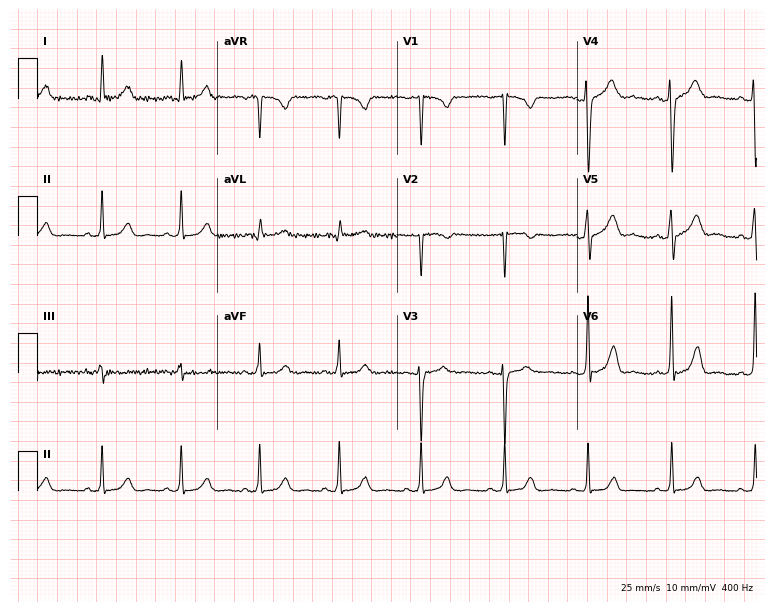
Resting 12-lead electrocardiogram (7.3-second recording at 400 Hz). Patient: a 36-year-old woman. None of these six findings is recorded: first-degree AV block, right bundle branch block, left bundle branch block, sinus bradycardia, atrial fibrillation, sinus tachycardia.